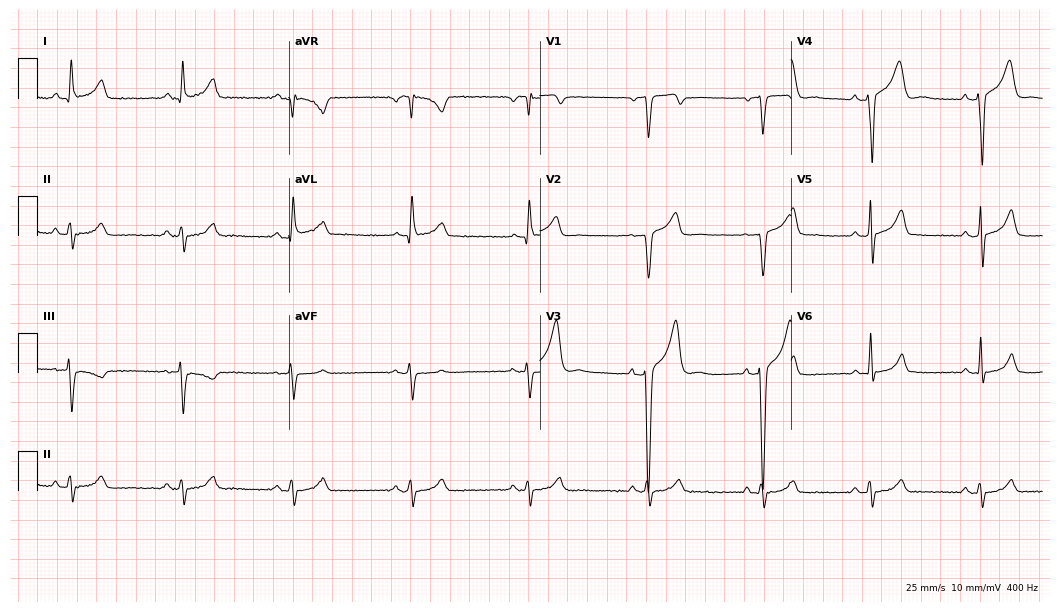
Electrocardiogram (10.2-second recording at 400 Hz), a man, 45 years old. Of the six screened findings (first-degree AV block, right bundle branch block, left bundle branch block, sinus bradycardia, atrial fibrillation, sinus tachycardia), none is recorded. Findings outside these six are not listed.